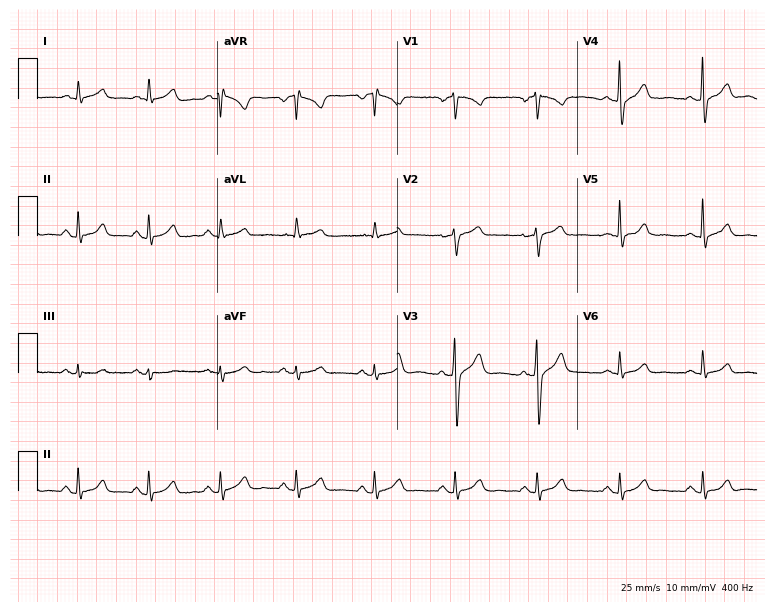
12-lead ECG (7.3-second recording at 400 Hz) from a female, 49 years old. Labelled as a normal ECG.